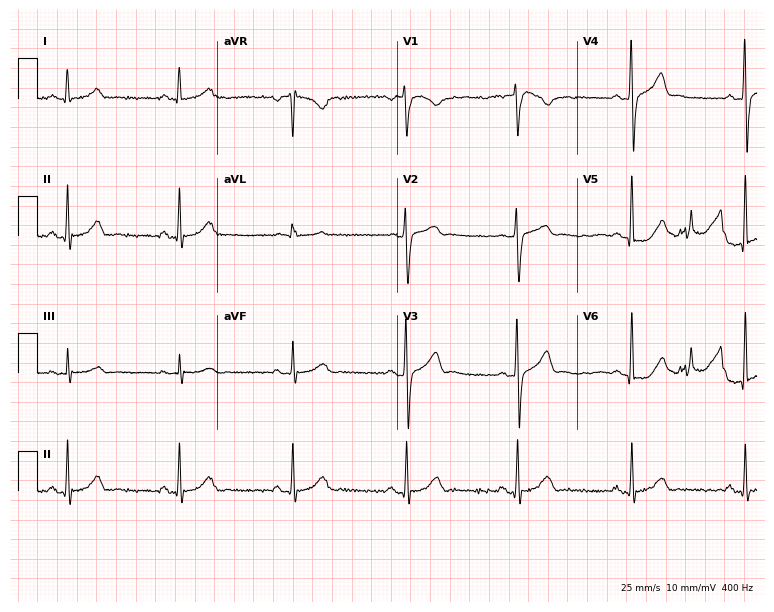
ECG — a male, 48 years old. Screened for six findings — first-degree AV block, right bundle branch block, left bundle branch block, sinus bradycardia, atrial fibrillation, sinus tachycardia — none is recorded.